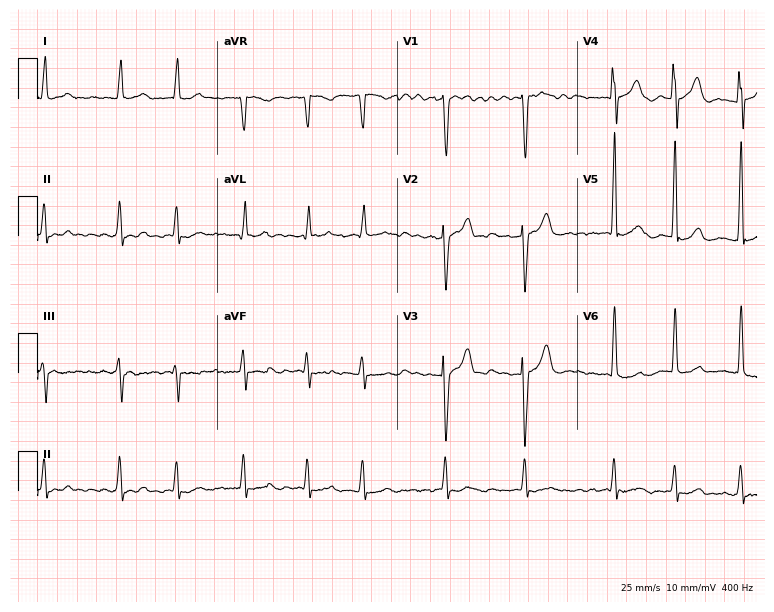
12-lead ECG from a female, 77 years old. Shows atrial fibrillation.